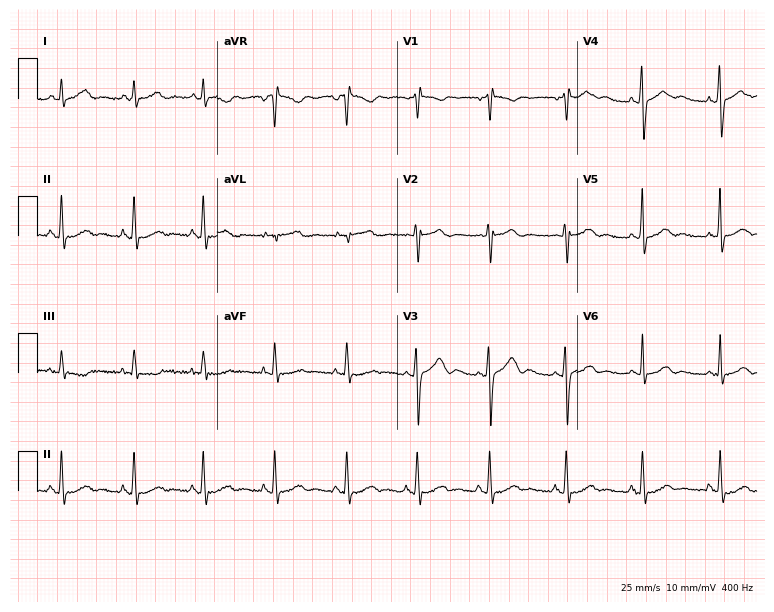
12-lead ECG from a 17-year-old woman. No first-degree AV block, right bundle branch block, left bundle branch block, sinus bradycardia, atrial fibrillation or sinus tachycardia recorded for this tracing. Findings outside these six are not listed.